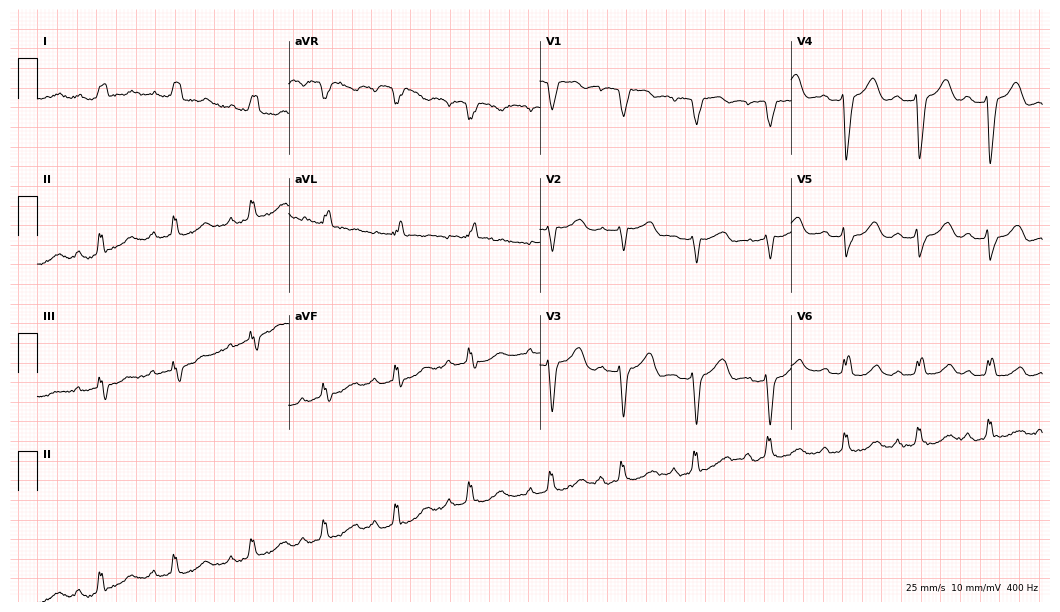
Electrocardiogram (10.2-second recording at 400 Hz), an 82-year-old woman. Interpretation includes left bundle branch block (LBBB).